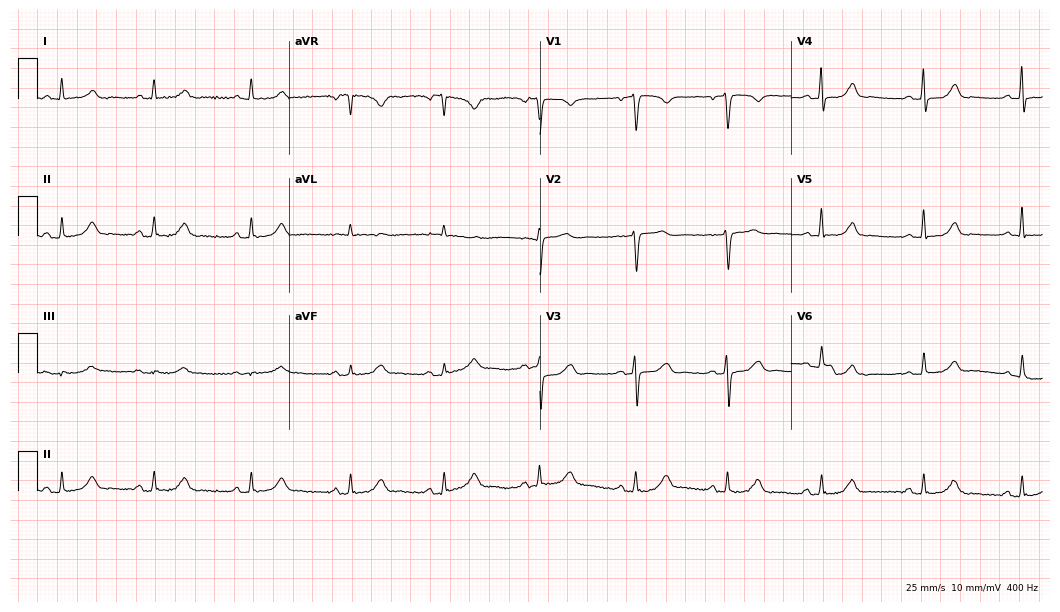
Resting 12-lead electrocardiogram. Patient: a 56-year-old woman. None of these six findings is recorded: first-degree AV block, right bundle branch block, left bundle branch block, sinus bradycardia, atrial fibrillation, sinus tachycardia. Findings outside these six are not listed.